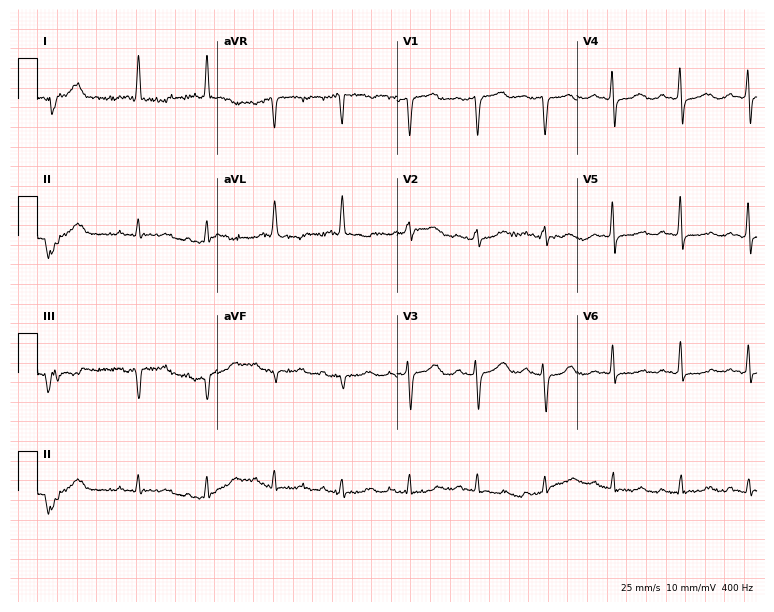
Resting 12-lead electrocardiogram (7.3-second recording at 400 Hz). Patient: a woman, 74 years old. None of these six findings is recorded: first-degree AV block, right bundle branch block (RBBB), left bundle branch block (LBBB), sinus bradycardia, atrial fibrillation (AF), sinus tachycardia. Findings outside these six are not listed.